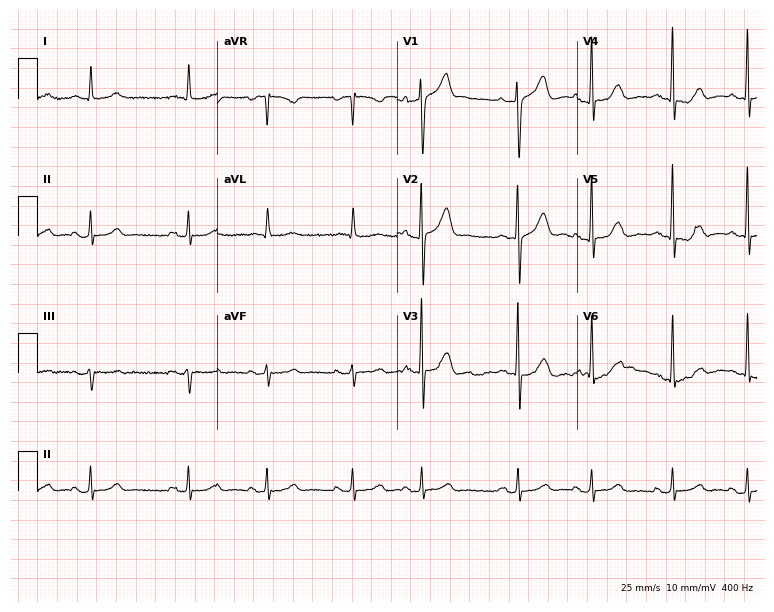
12-lead ECG from a 76-year-old man (7.3-second recording at 400 Hz). No first-degree AV block, right bundle branch block (RBBB), left bundle branch block (LBBB), sinus bradycardia, atrial fibrillation (AF) or sinus tachycardia recorded for this tracing. Other findings, if any, are not listed.